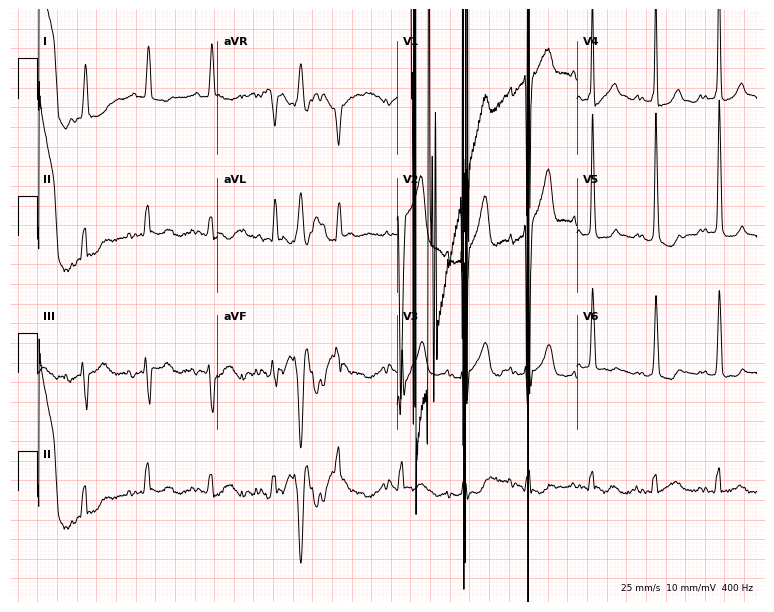
12-lead ECG from an 83-year-old male patient. Screened for six findings — first-degree AV block, right bundle branch block, left bundle branch block, sinus bradycardia, atrial fibrillation, sinus tachycardia — none is recorded.